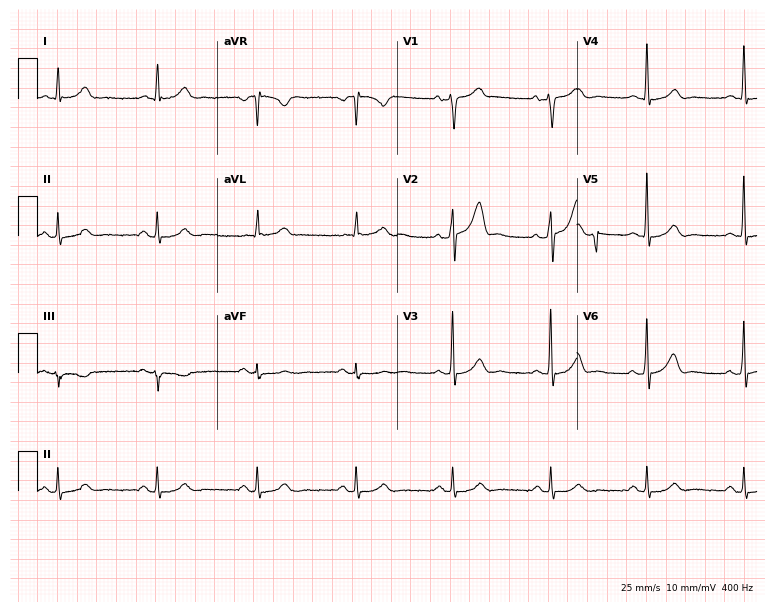
Electrocardiogram (7.3-second recording at 400 Hz), a male patient, 48 years old. Overall reading on record: normal ECG.